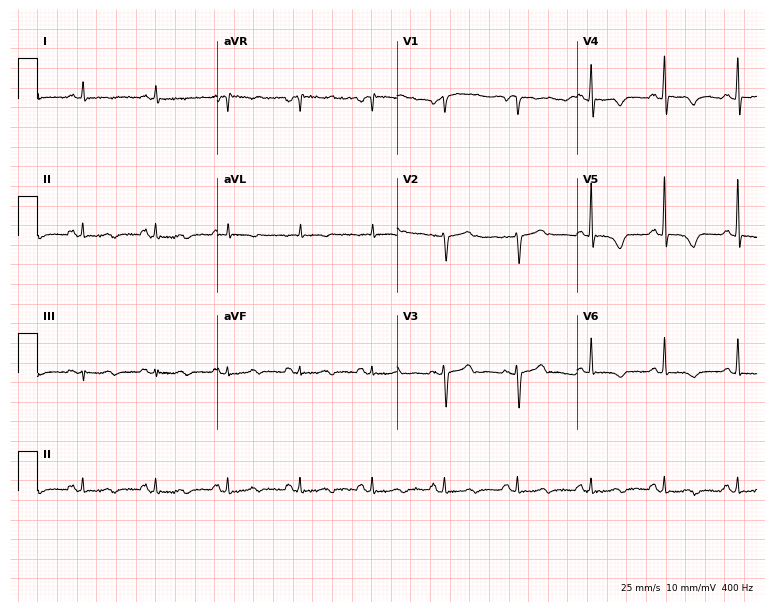
Electrocardiogram, a female, 70 years old. Of the six screened findings (first-degree AV block, right bundle branch block (RBBB), left bundle branch block (LBBB), sinus bradycardia, atrial fibrillation (AF), sinus tachycardia), none is recorded.